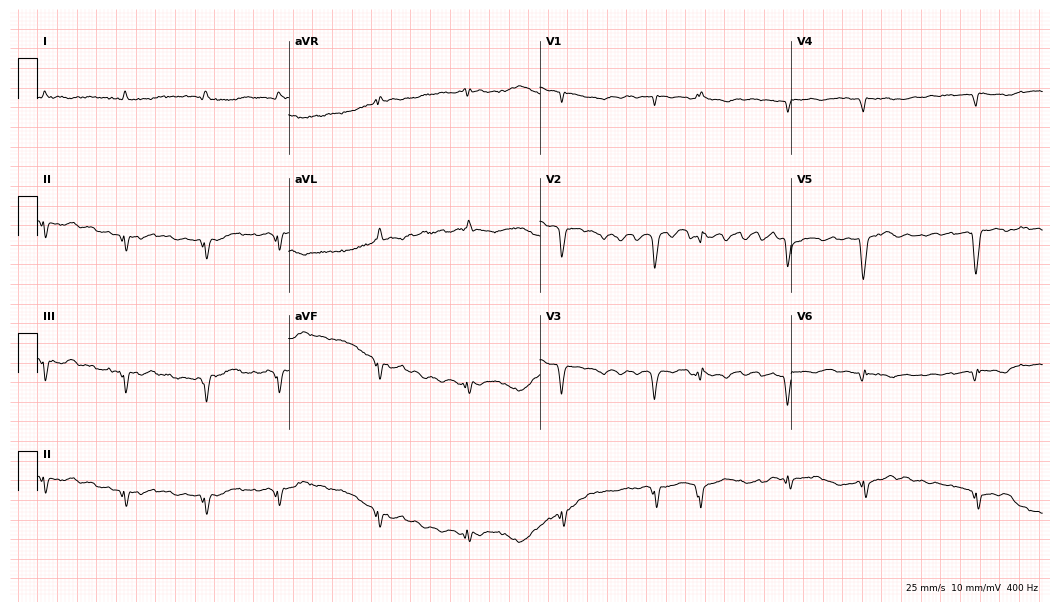
Standard 12-lead ECG recorded from a male patient, 78 years old. The tracing shows atrial fibrillation (AF).